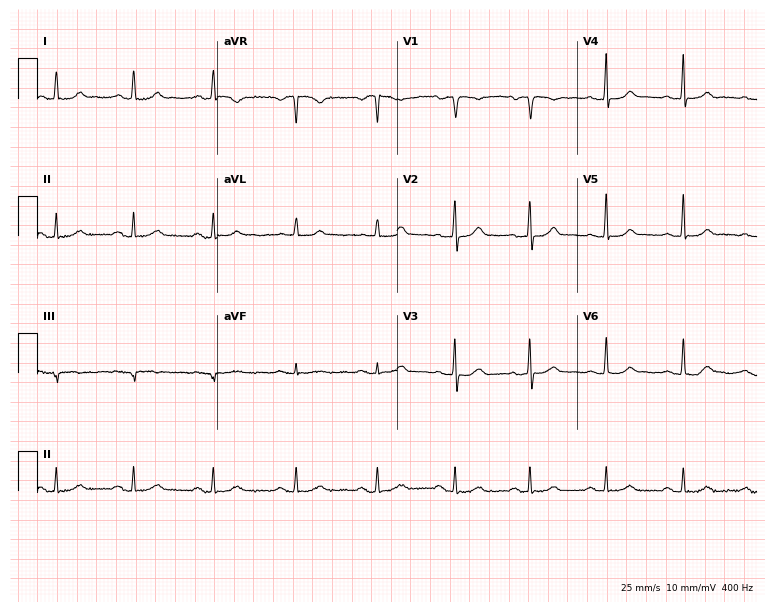
Resting 12-lead electrocardiogram (7.3-second recording at 400 Hz). Patient: a 44-year-old woman. Read as a normal ECG.